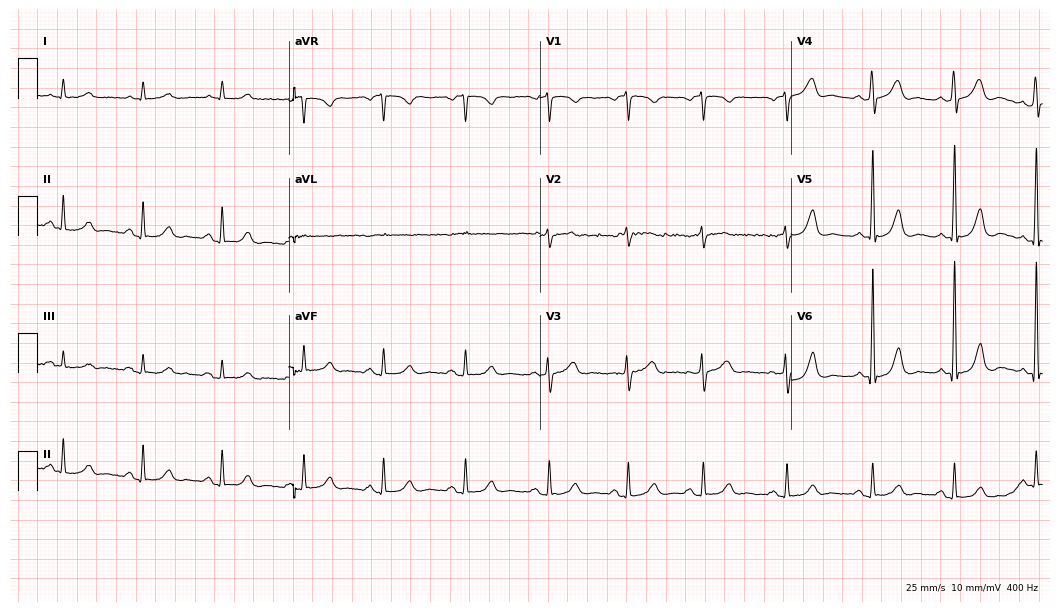
Electrocardiogram, a man, 73 years old. Overall reading on record: normal ECG.